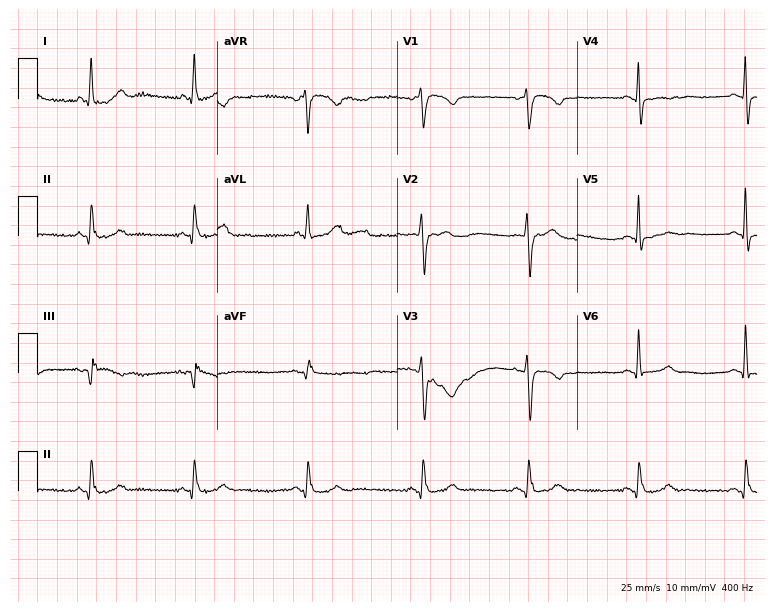
12-lead ECG from a woman, 54 years old. No first-degree AV block, right bundle branch block, left bundle branch block, sinus bradycardia, atrial fibrillation or sinus tachycardia recorded for this tracing.